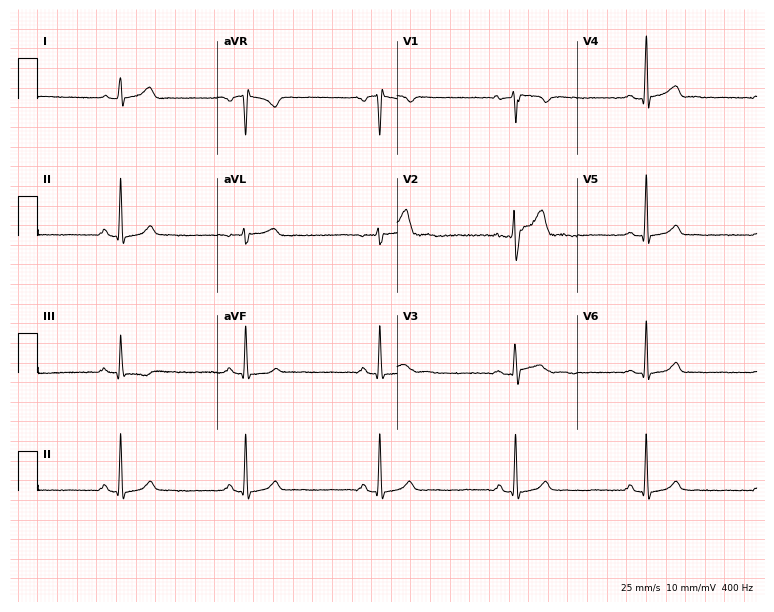
12-lead ECG from a 39-year-old female. Findings include sinus bradycardia (a sinus rate of 50 beats per minute or less).